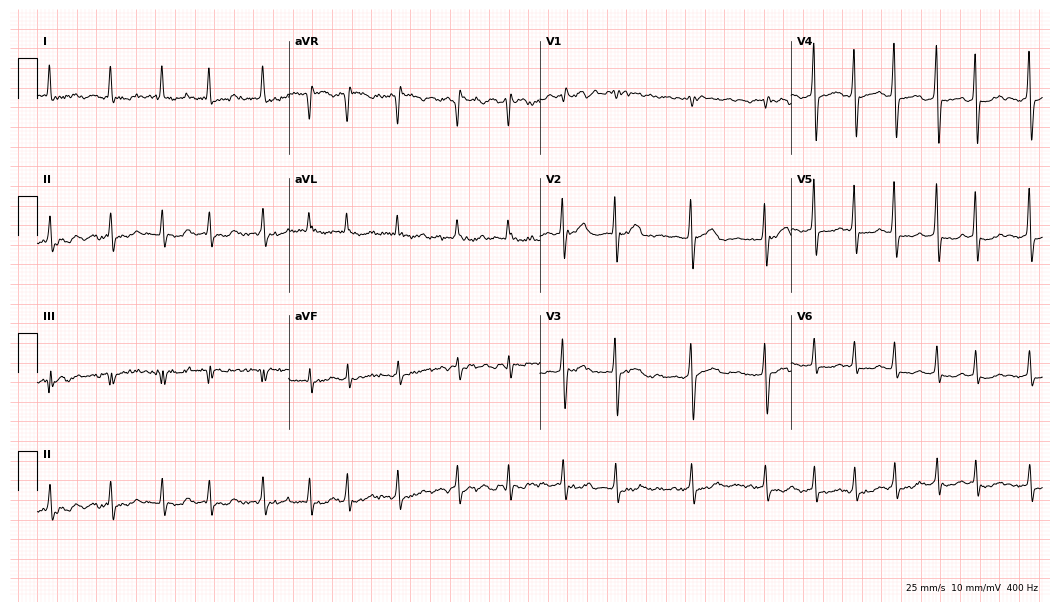
Standard 12-lead ECG recorded from a male patient, 74 years old. The tracing shows atrial fibrillation, sinus tachycardia (a sinus rate of 100 beats per minute or more).